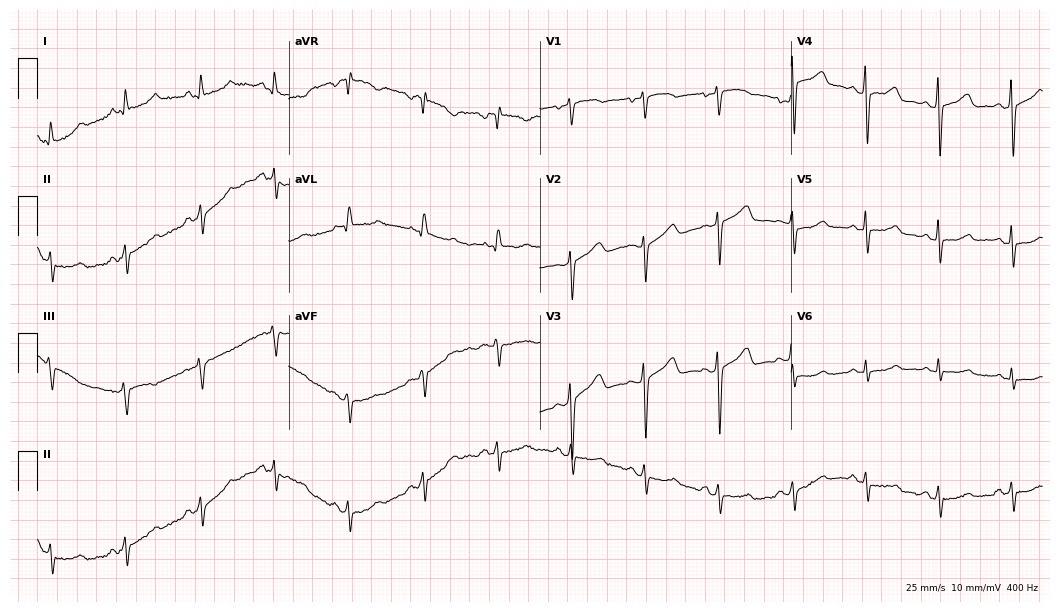
ECG (10.2-second recording at 400 Hz) — a woman, 53 years old. Labelled as a normal ECG.